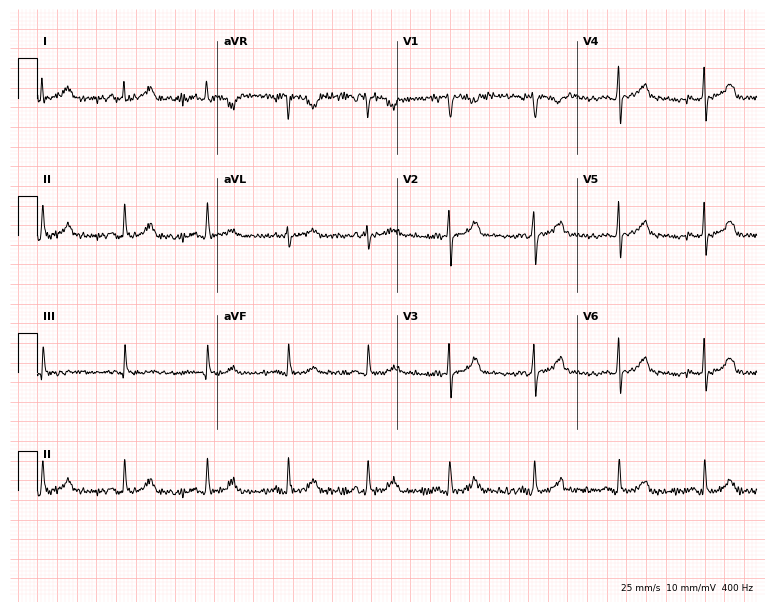
Electrocardiogram (7.3-second recording at 400 Hz), a female patient, 46 years old. Of the six screened findings (first-degree AV block, right bundle branch block (RBBB), left bundle branch block (LBBB), sinus bradycardia, atrial fibrillation (AF), sinus tachycardia), none is recorded. Other findings, if any, are not listed.